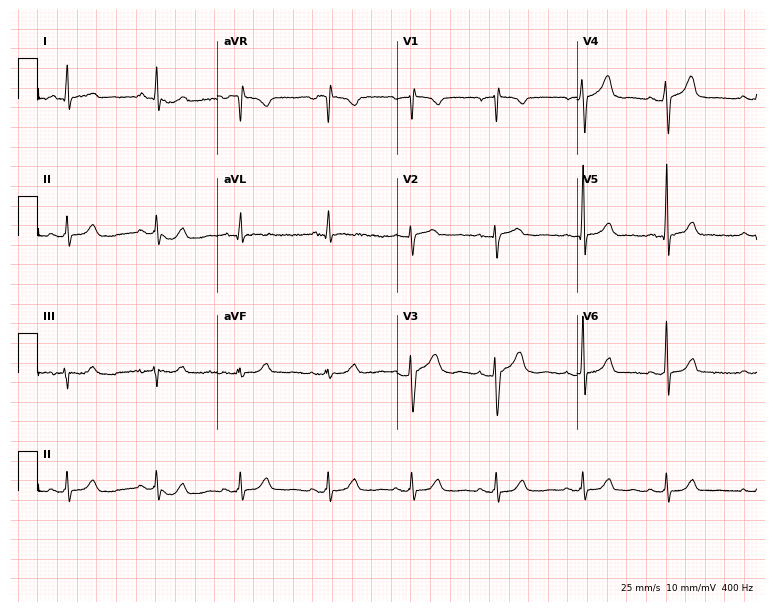
ECG (7.3-second recording at 400 Hz) — a 23-year-old woman. Labelled as a normal ECG.